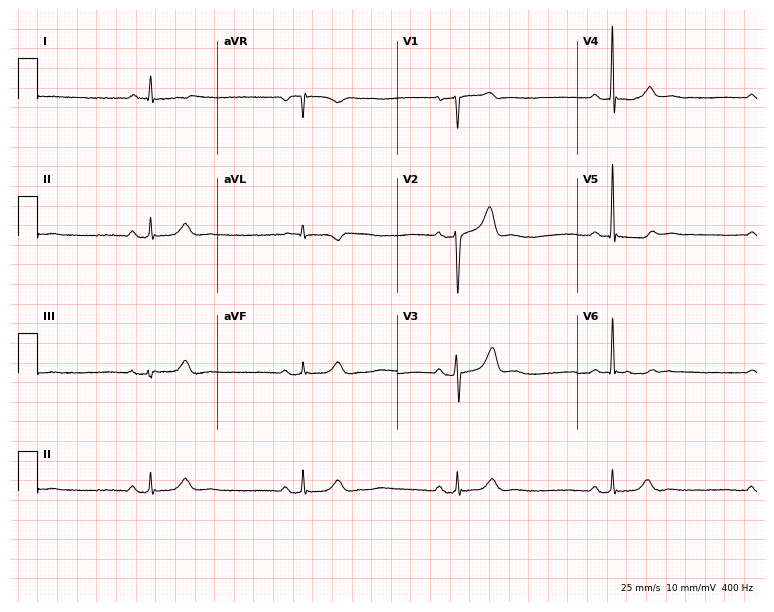
Standard 12-lead ECG recorded from a male, 64 years old (7.3-second recording at 400 Hz). None of these six findings is recorded: first-degree AV block, right bundle branch block (RBBB), left bundle branch block (LBBB), sinus bradycardia, atrial fibrillation (AF), sinus tachycardia. Findings outside these six are not listed.